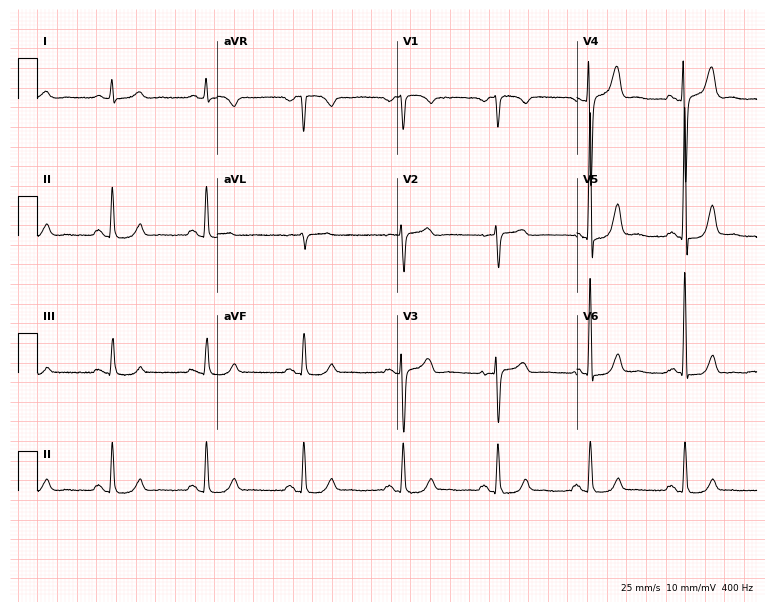
ECG (7.3-second recording at 400 Hz) — a male patient, 79 years old. Labelled as a normal ECG.